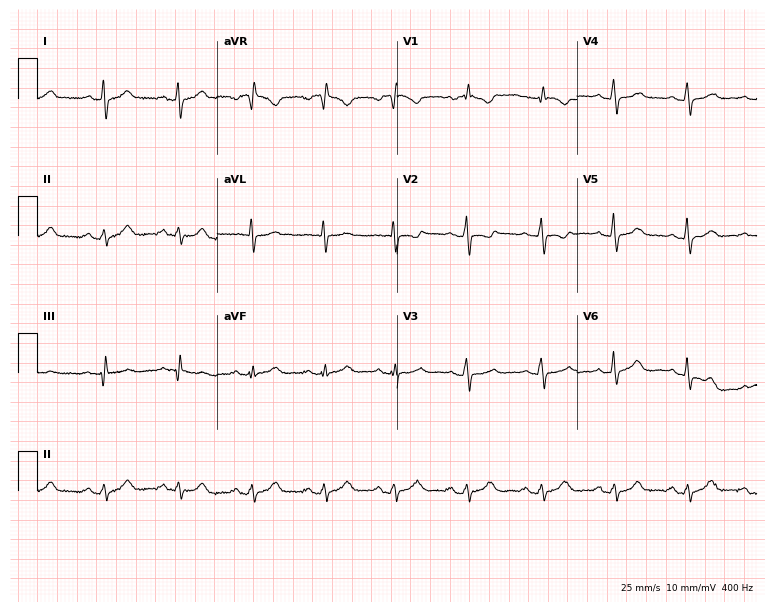
Standard 12-lead ECG recorded from a female, 39 years old (7.3-second recording at 400 Hz). None of these six findings is recorded: first-degree AV block, right bundle branch block, left bundle branch block, sinus bradycardia, atrial fibrillation, sinus tachycardia. Other findings, if any, are not listed.